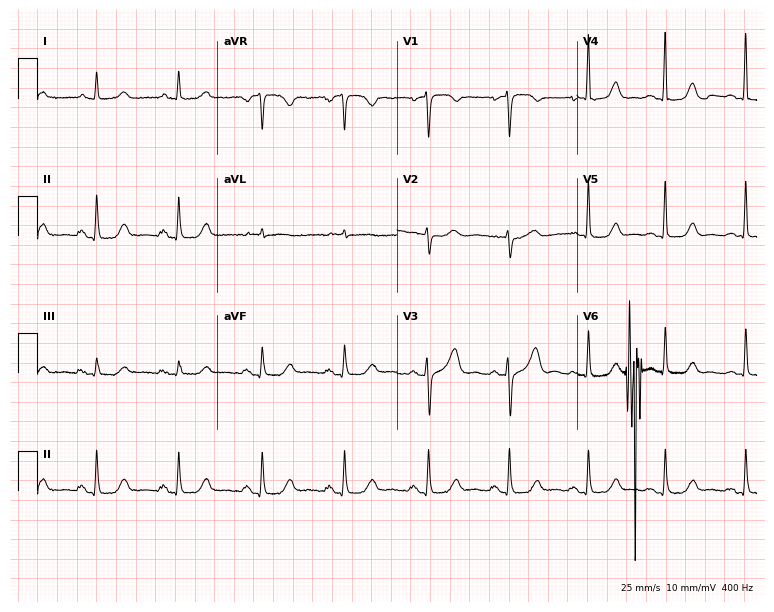
ECG — a 57-year-old woman. Labelled as a normal ECG.